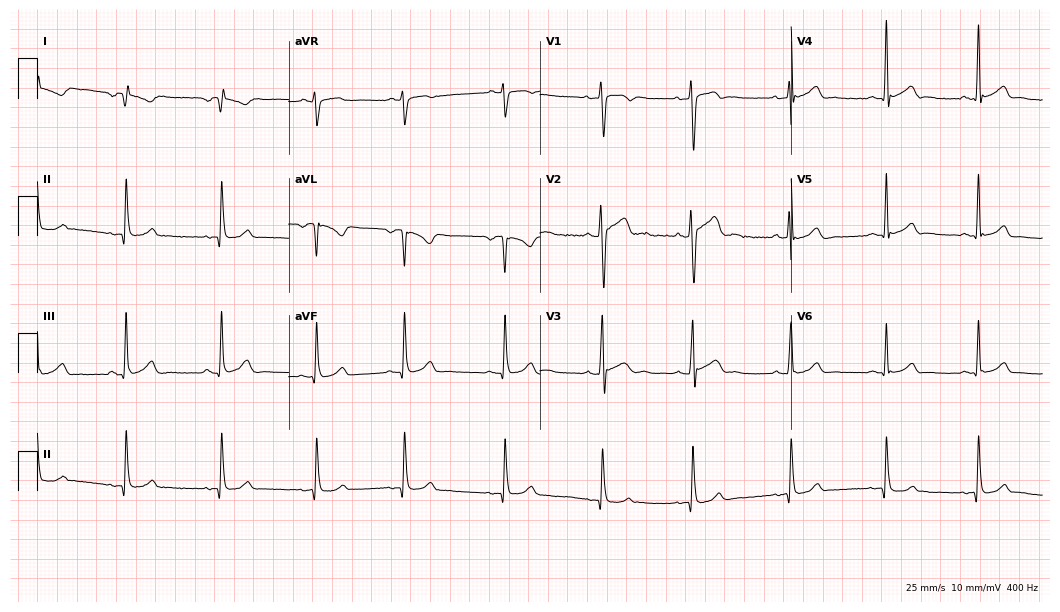
Electrocardiogram, a male patient, 19 years old. Of the six screened findings (first-degree AV block, right bundle branch block, left bundle branch block, sinus bradycardia, atrial fibrillation, sinus tachycardia), none is recorded.